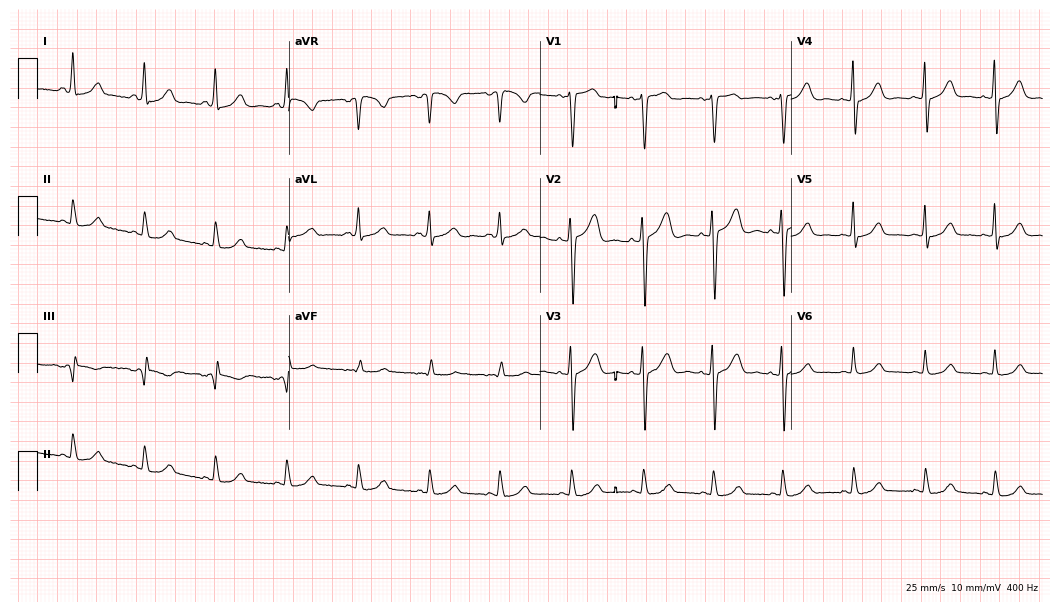
Electrocardiogram (10.2-second recording at 400 Hz), a female, 44 years old. Of the six screened findings (first-degree AV block, right bundle branch block (RBBB), left bundle branch block (LBBB), sinus bradycardia, atrial fibrillation (AF), sinus tachycardia), none is recorded.